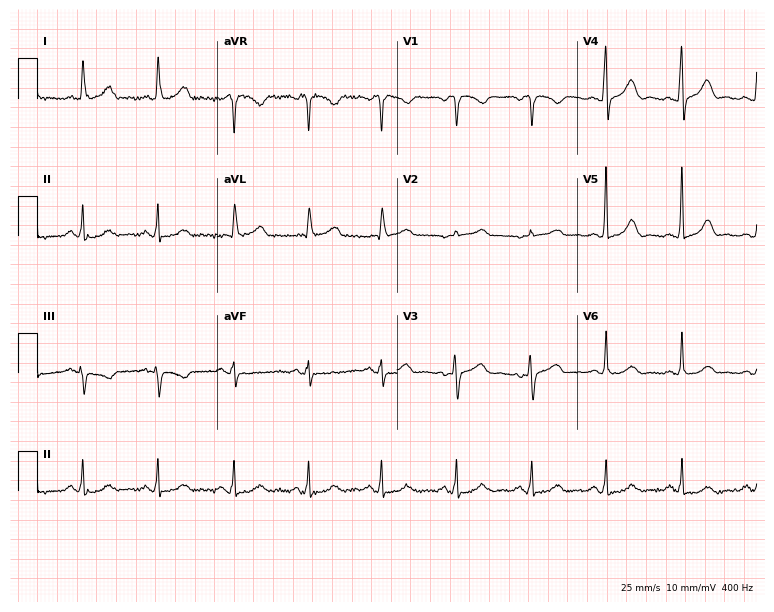
Resting 12-lead electrocardiogram. Patient: a female, 67 years old. Read as a normal ECG.